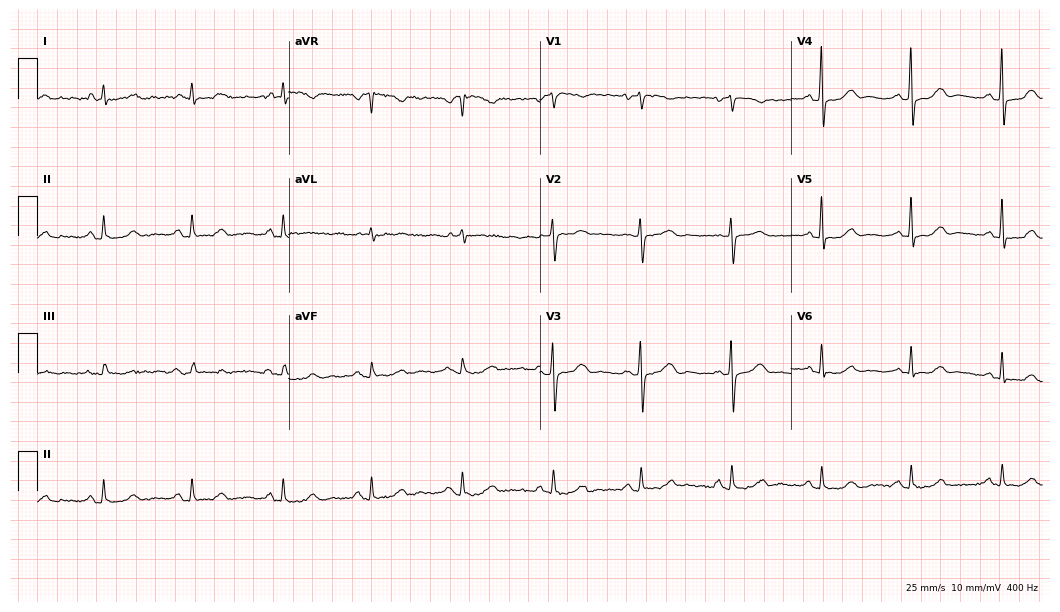
12-lead ECG from a 71-year-old woman (10.2-second recording at 400 Hz). No first-degree AV block, right bundle branch block, left bundle branch block, sinus bradycardia, atrial fibrillation or sinus tachycardia recorded for this tracing. Findings outside these six are not listed.